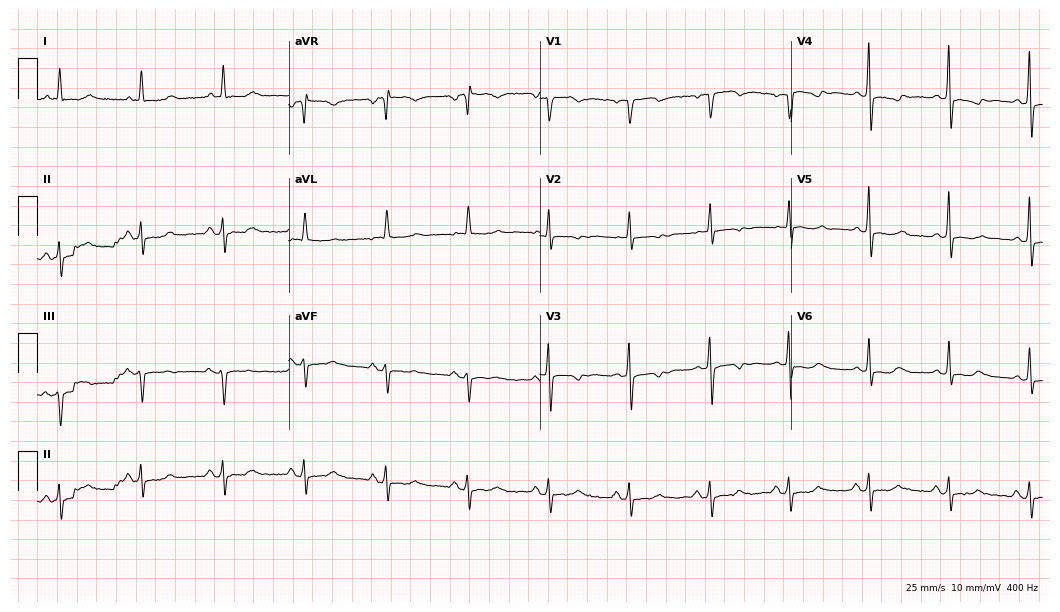
12-lead ECG from a woman, 67 years old (10.2-second recording at 400 Hz). No first-degree AV block, right bundle branch block, left bundle branch block, sinus bradycardia, atrial fibrillation or sinus tachycardia recorded for this tracing. Only these six findings were labelled.